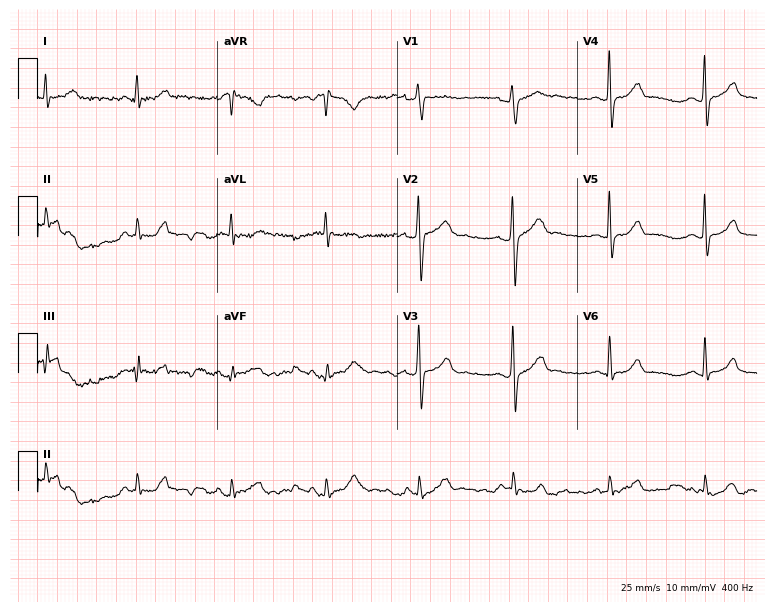
Electrocardiogram (7.3-second recording at 400 Hz), a male, 42 years old. Of the six screened findings (first-degree AV block, right bundle branch block, left bundle branch block, sinus bradycardia, atrial fibrillation, sinus tachycardia), none is recorded. Findings outside these six are not listed.